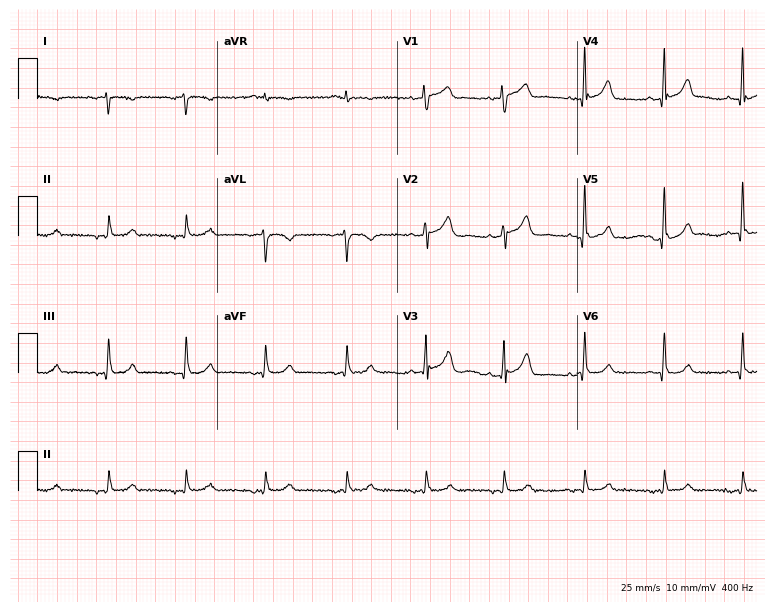
12-lead ECG (7.3-second recording at 400 Hz) from a male, 49 years old. Screened for six findings — first-degree AV block, right bundle branch block (RBBB), left bundle branch block (LBBB), sinus bradycardia, atrial fibrillation (AF), sinus tachycardia — none is recorded.